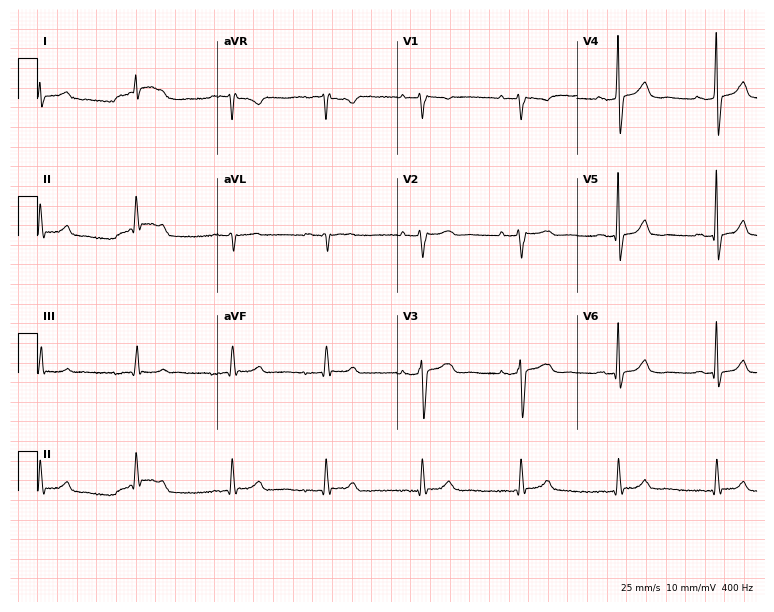
Electrocardiogram (7.3-second recording at 400 Hz), a male, 58 years old. Of the six screened findings (first-degree AV block, right bundle branch block (RBBB), left bundle branch block (LBBB), sinus bradycardia, atrial fibrillation (AF), sinus tachycardia), none is recorded.